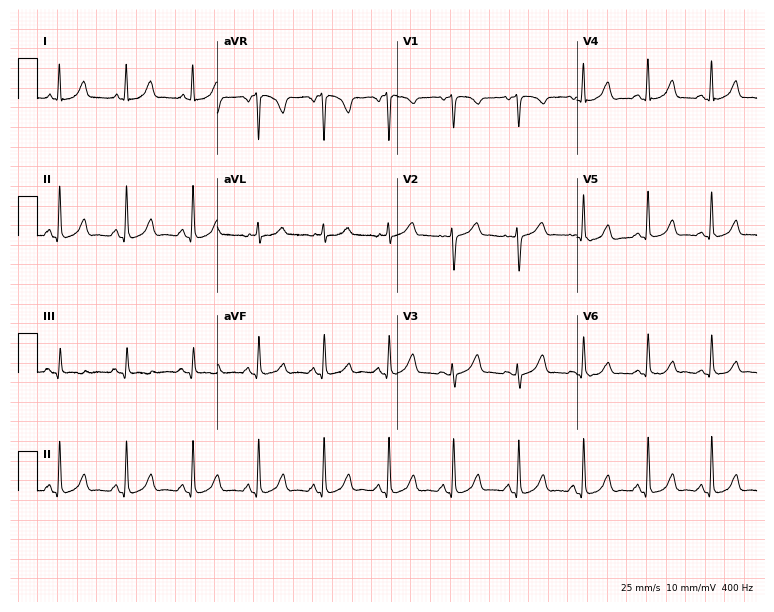
ECG — a female patient, 48 years old. Labelled as a normal ECG.